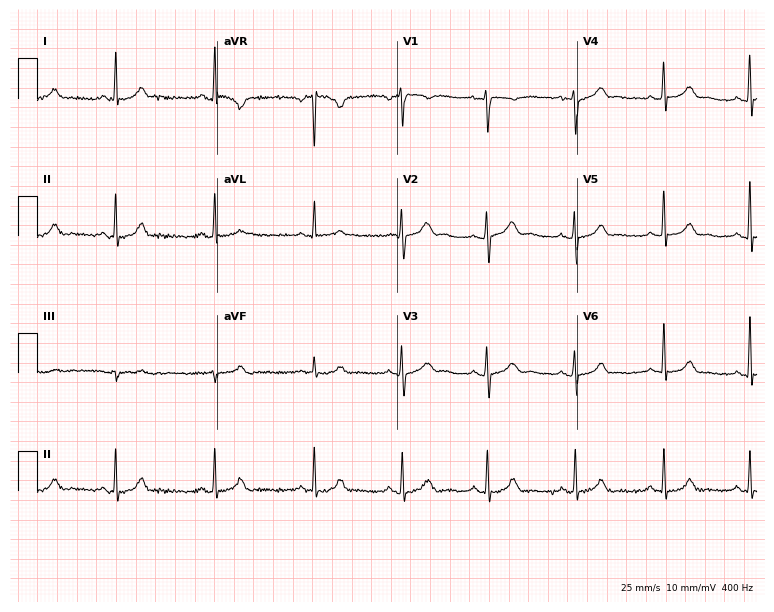
Standard 12-lead ECG recorded from a 41-year-old female patient. None of these six findings is recorded: first-degree AV block, right bundle branch block, left bundle branch block, sinus bradycardia, atrial fibrillation, sinus tachycardia. Only these six findings were labelled.